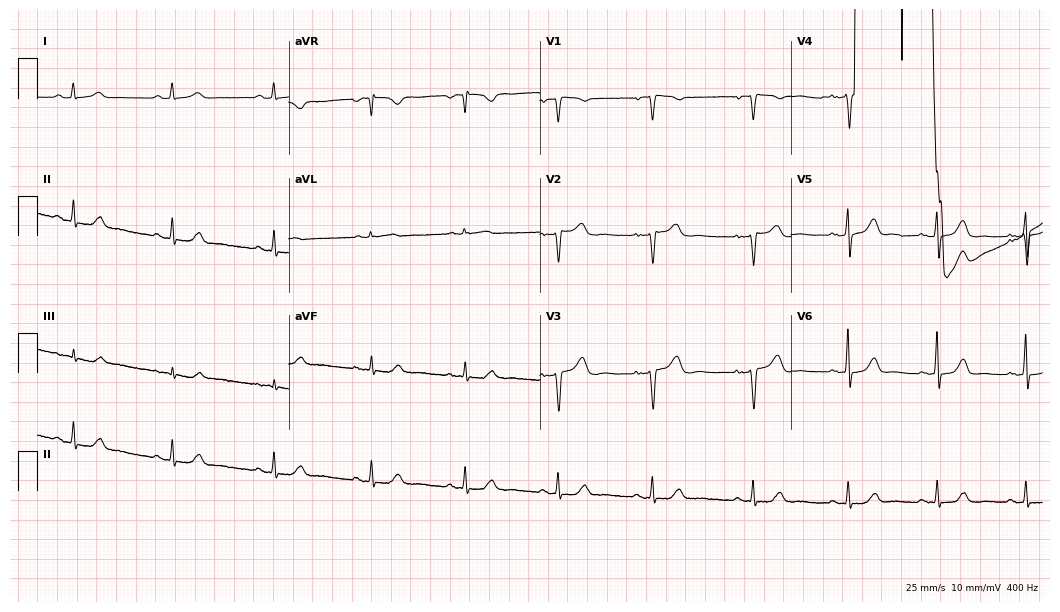
Resting 12-lead electrocardiogram (10.2-second recording at 400 Hz). Patient: a 44-year-old female. Read as a normal ECG.